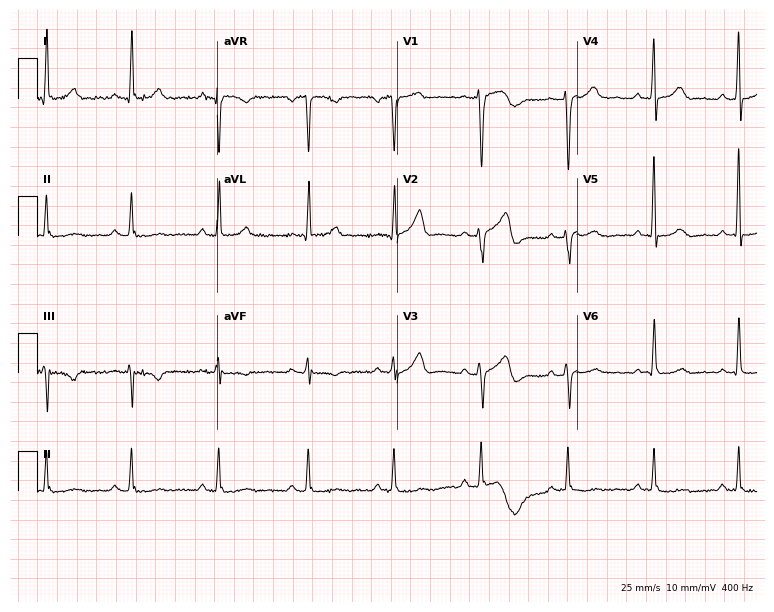
Standard 12-lead ECG recorded from a male patient, 53 years old. None of these six findings is recorded: first-degree AV block, right bundle branch block (RBBB), left bundle branch block (LBBB), sinus bradycardia, atrial fibrillation (AF), sinus tachycardia.